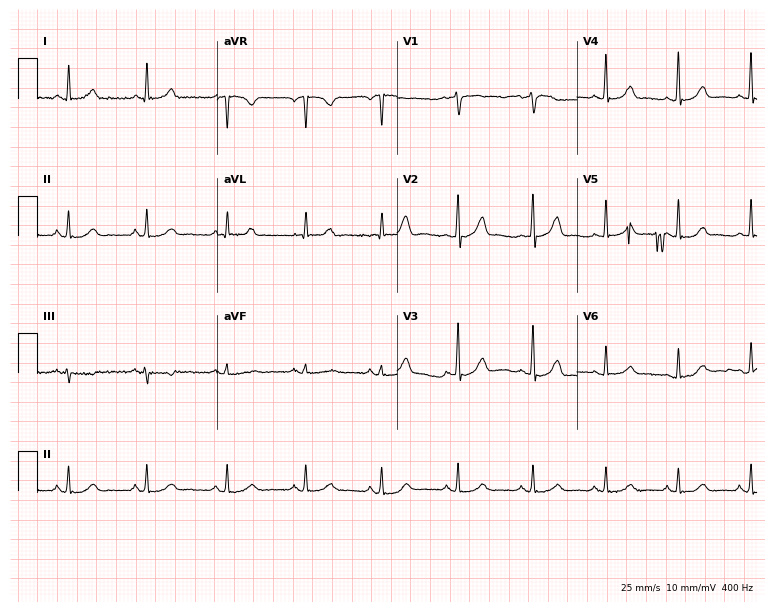
ECG (7.3-second recording at 400 Hz) — a female, 61 years old. Screened for six findings — first-degree AV block, right bundle branch block, left bundle branch block, sinus bradycardia, atrial fibrillation, sinus tachycardia — none is recorded. Findings outside these six are not listed.